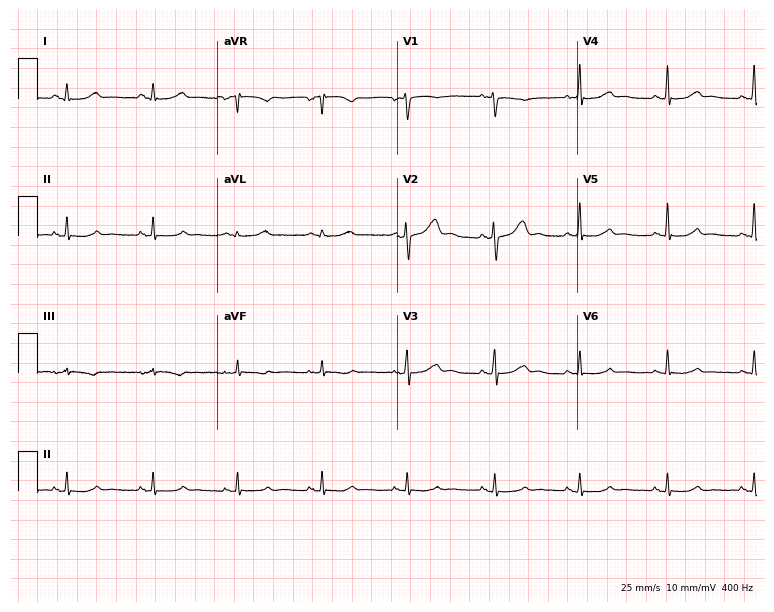
12-lead ECG from a woman, 58 years old. Labelled as a normal ECG.